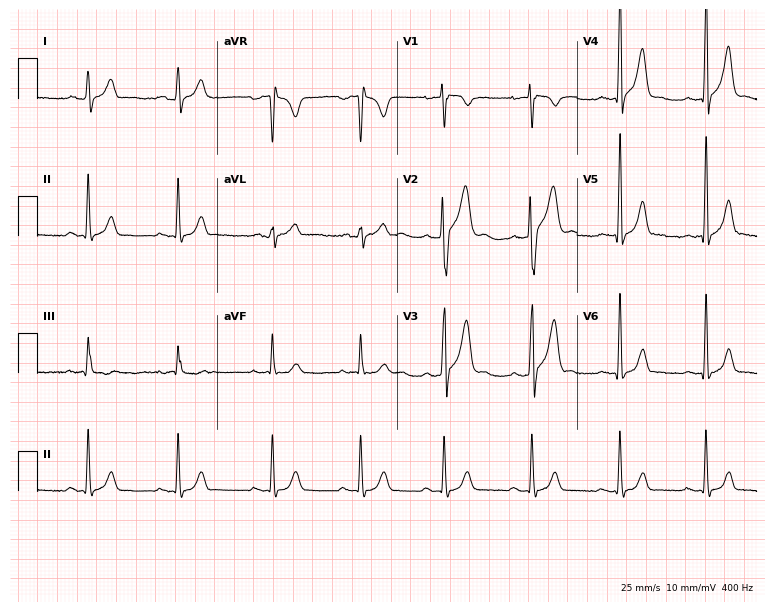
12-lead ECG from a 26-year-old man (7.3-second recording at 400 Hz). No first-degree AV block, right bundle branch block, left bundle branch block, sinus bradycardia, atrial fibrillation or sinus tachycardia recorded for this tracing. Findings outside these six are not listed.